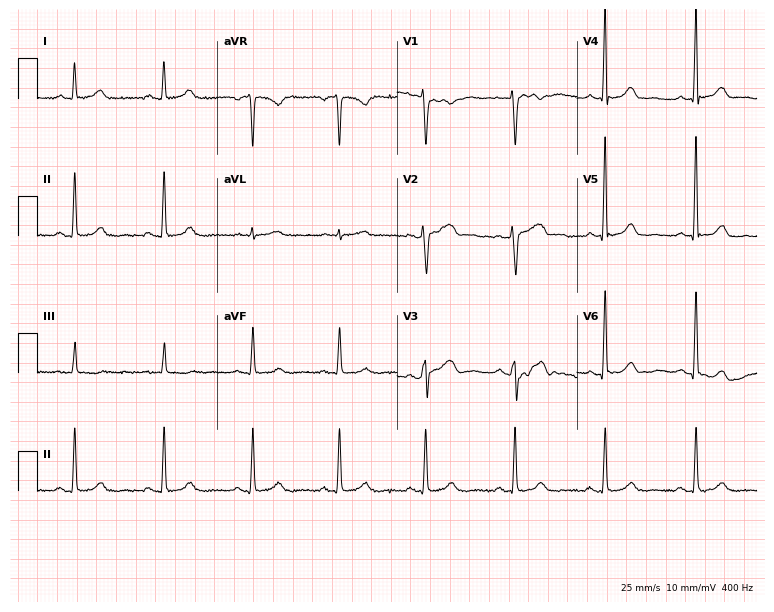
12-lead ECG (7.3-second recording at 400 Hz) from a female, 48 years old. Screened for six findings — first-degree AV block, right bundle branch block, left bundle branch block, sinus bradycardia, atrial fibrillation, sinus tachycardia — none is recorded.